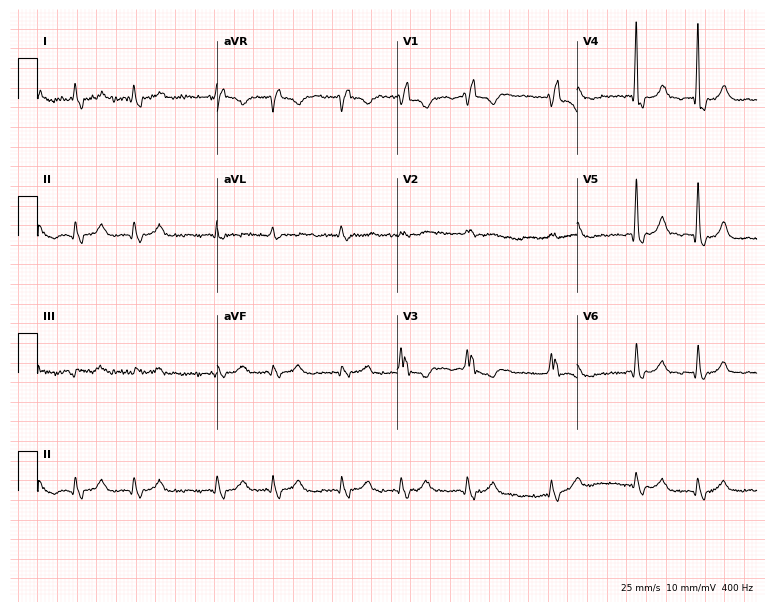
Electrocardiogram, a 72-year-old female. Interpretation includes right bundle branch block, atrial fibrillation.